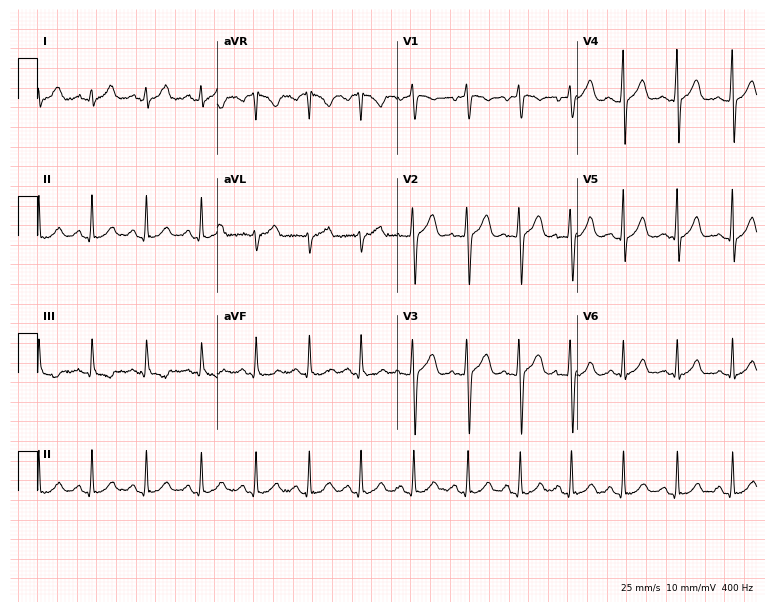
12-lead ECG from a 25-year-old female patient (7.3-second recording at 400 Hz). Shows sinus tachycardia (a sinus rate of 100 beats per minute or more).